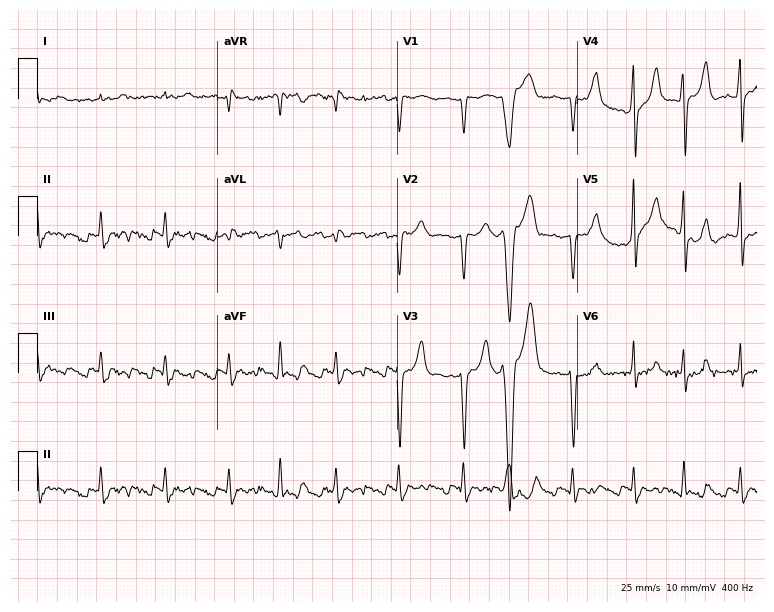
ECG — an 81-year-old male patient. Screened for six findings — first-degree AV block, right bundle branch block, left bundle branch block, sinus bradycardia, atrial fibrillation, sinus tachycardia — none is recorded. Findings outside these six are not listed.